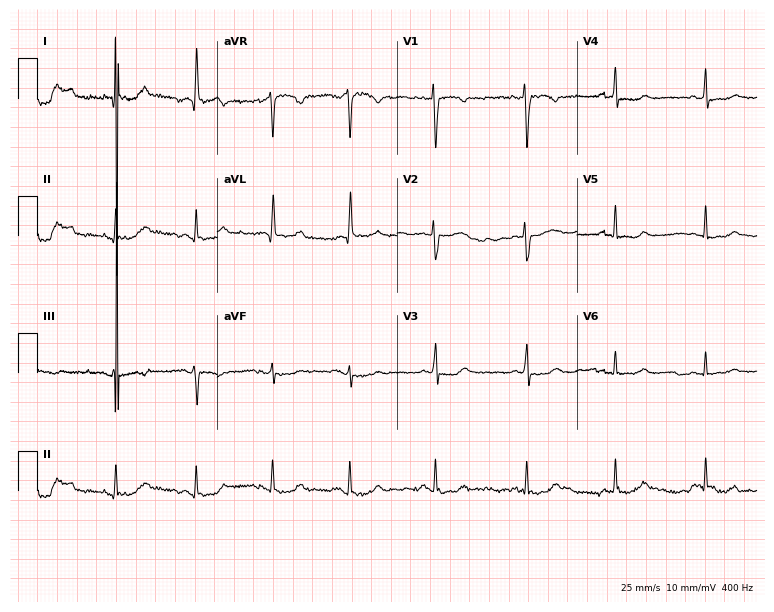
12-lead ECG from a woman, 35 years old. No first-degree AV block, right bundle branch block (RBBB), left bundle branch block (LBBB), sinus bradycardia, atrial fibrillation (AF) or sinus tachycardia recorded for this tracing.